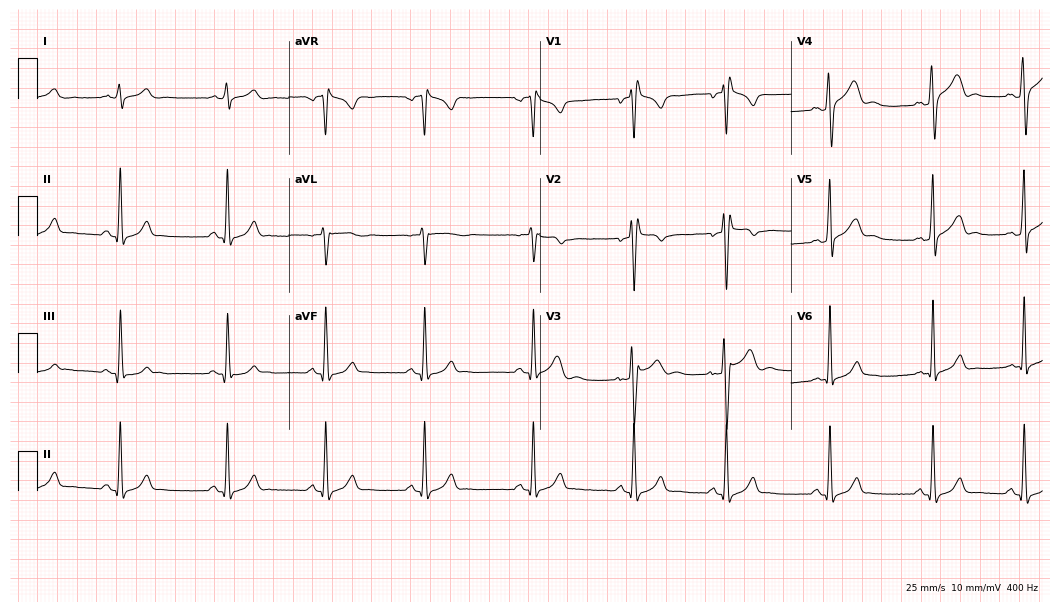
Resting 12-lead electrocardiogram. Patient: a 19-year-old male. None of these six findings is recorded: first-degree AV block, right bundle branch block, left bundle branch block, sinus bradycardia, atrial fibrillation, sinus tachycardia. Only these six findings were labelled.